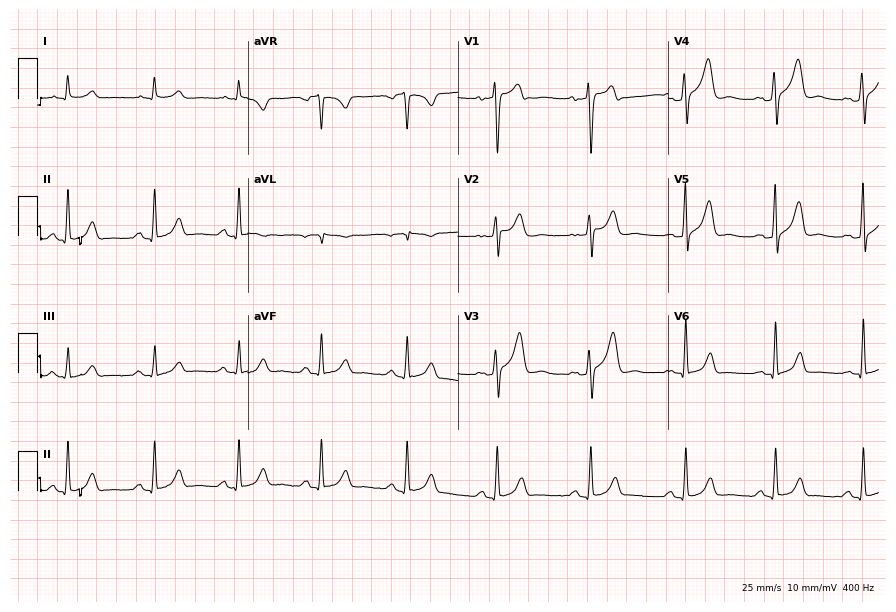
12-lead ECG from a 35-year-old male. Recorded interpretation: within normal limits.